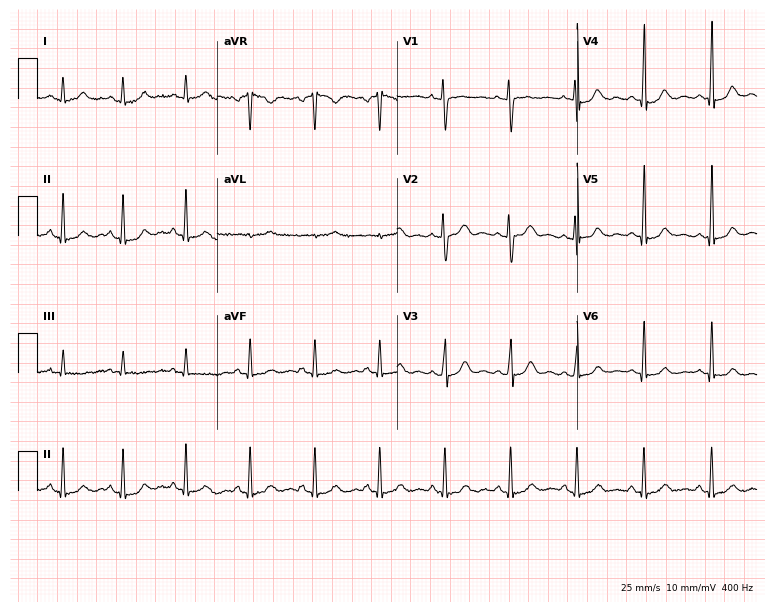
12-lead ECG from a woman, 39 years old. No first-degree AV block, right bundle branch block, left bundle branch block, sinus bradycardia, atrial fibrillation or sinus tachycardia recorded for this tracing. Findings outside these six are not listed.